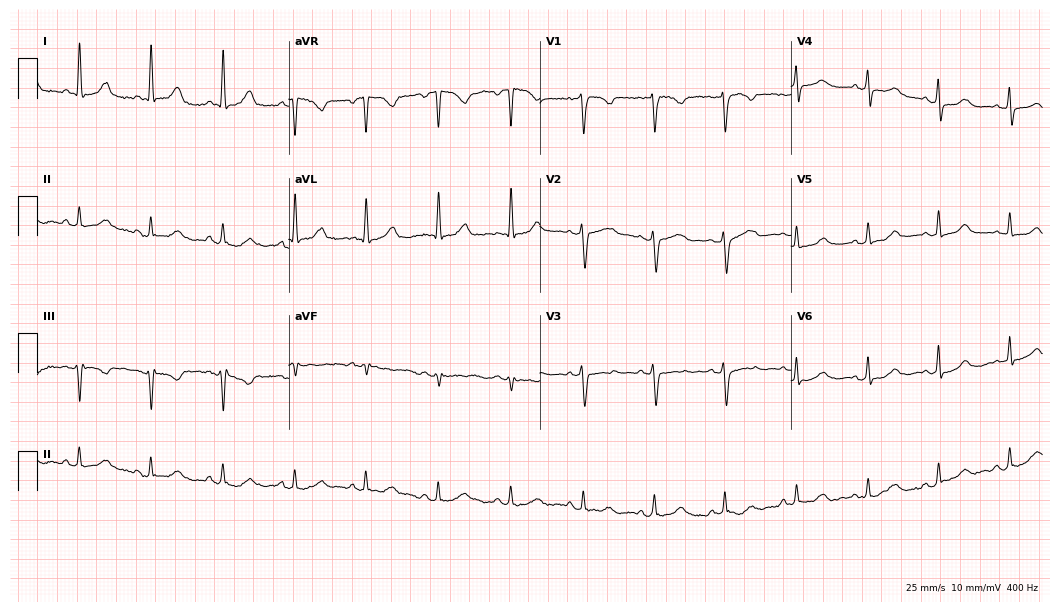
Electrocardiogram, a 46-year-old female patient. Overall reading on record: normal ECG.